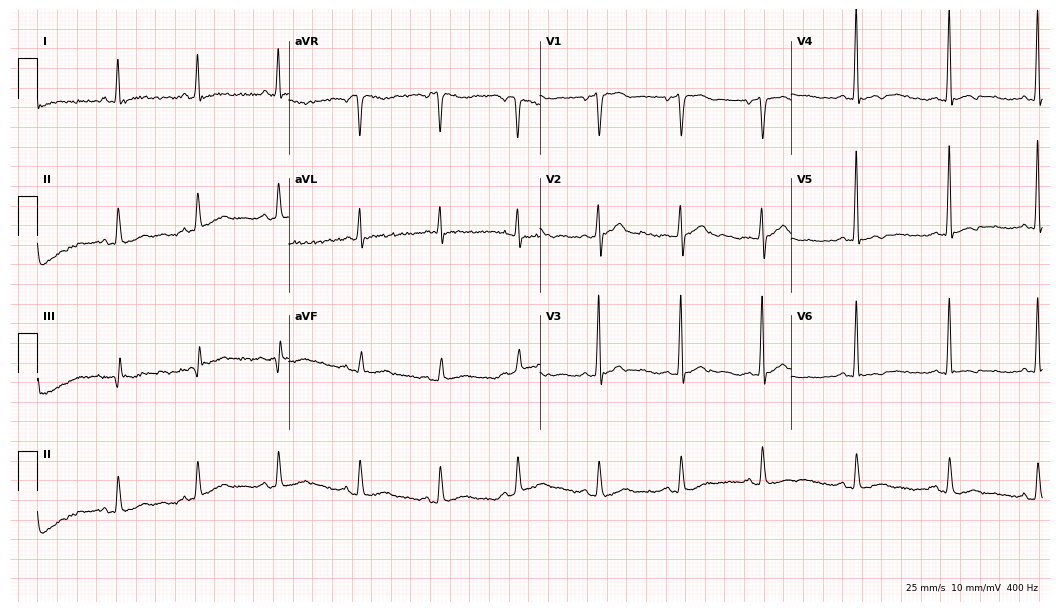
Standard 12-lead ECG recorded from a male patient, 47 years old. None of these six findings is recorded: first-degree AV block, right bundle branch block (RBBB), left bundle branch block (LBBB), sinus bradycardia, atrial fibrillation (AF), sinus tachycardia.